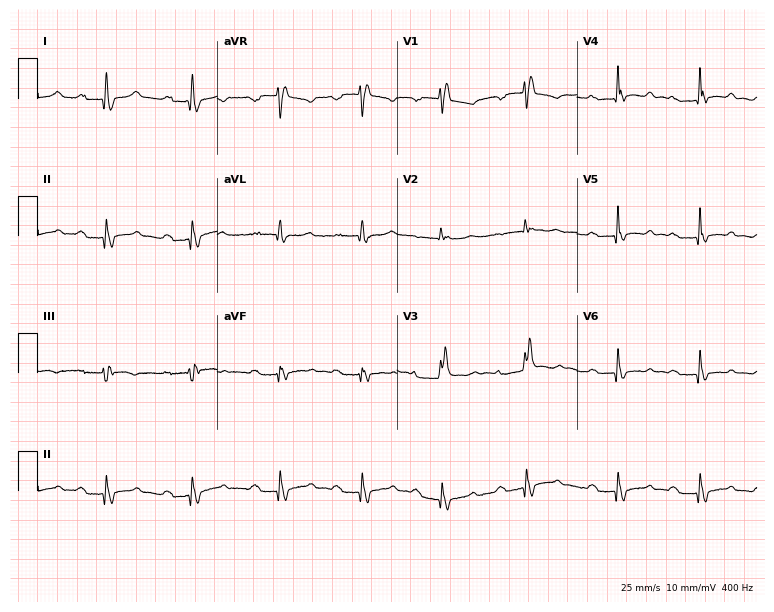
12-lead ECG from a 53-year-old female patient. Findings include first-degree AV block, right bundle branch block.